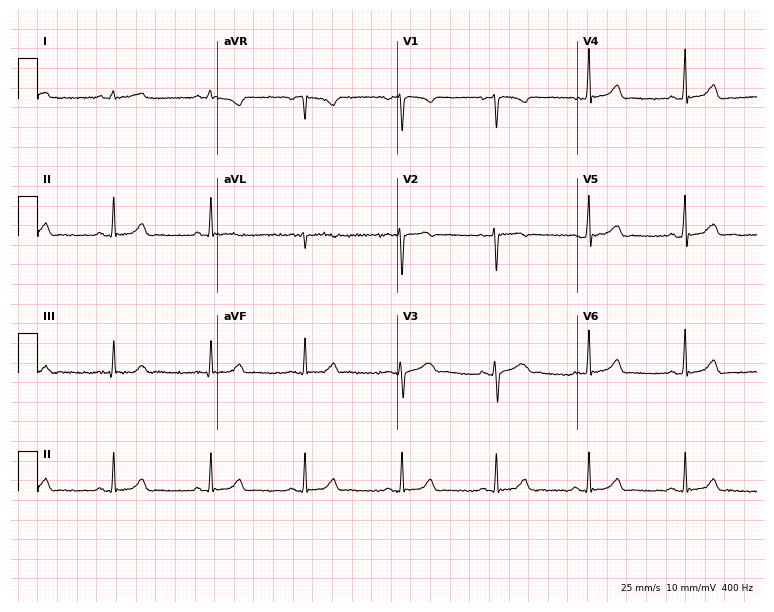
Standard 12-lead ECG recorded from a 36-year-old female patient (7.3-second recording at 400 Hz). Read as a normal ECG.